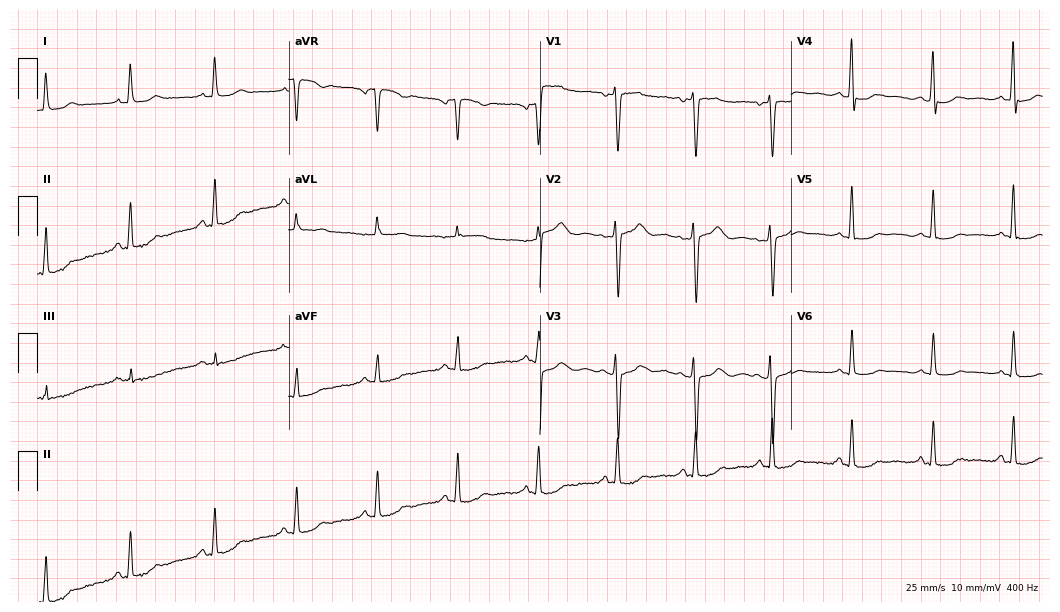
12-lead ECG from a woman, 29 years old. Labelled as a normal ECG.